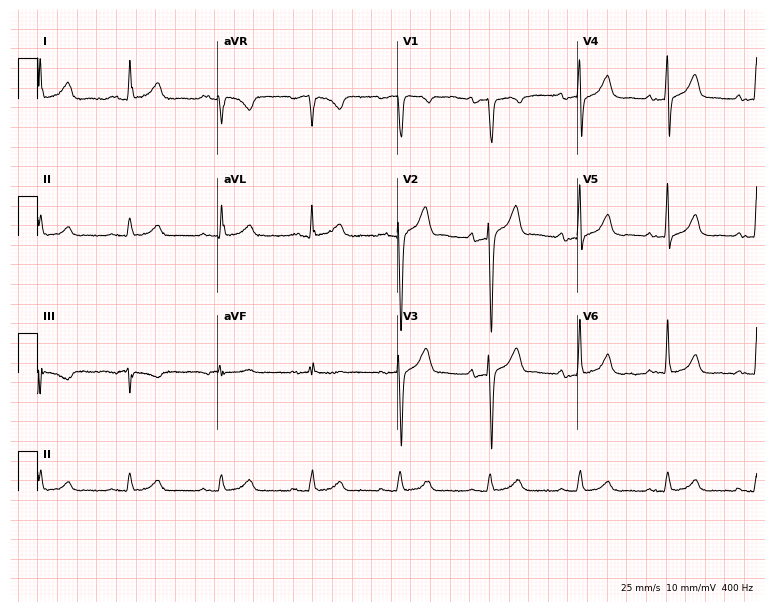
12-lead ECG from a male patient, 58 years old. Recorded interpretation: within normal limits.